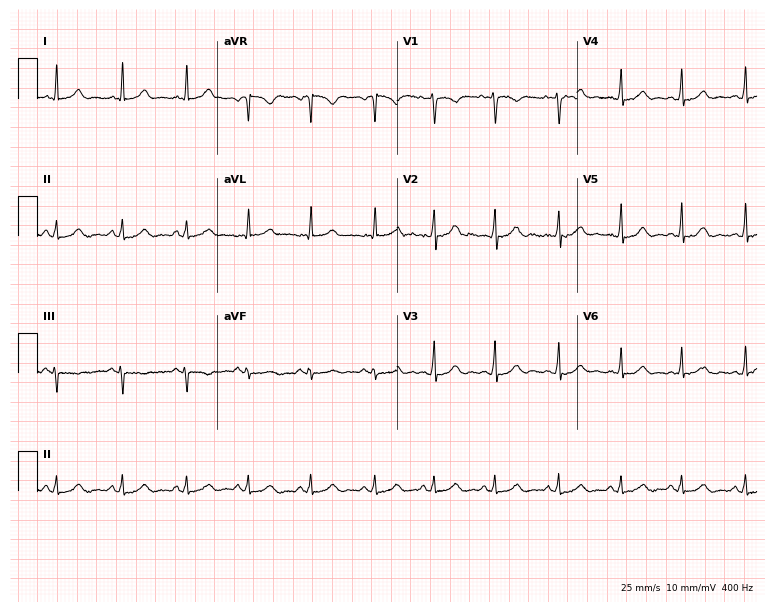
12-lead ECG from a woman, 27 years old (7.3-second recording at 400 Hz). Recorded interpretation: within normal limits.